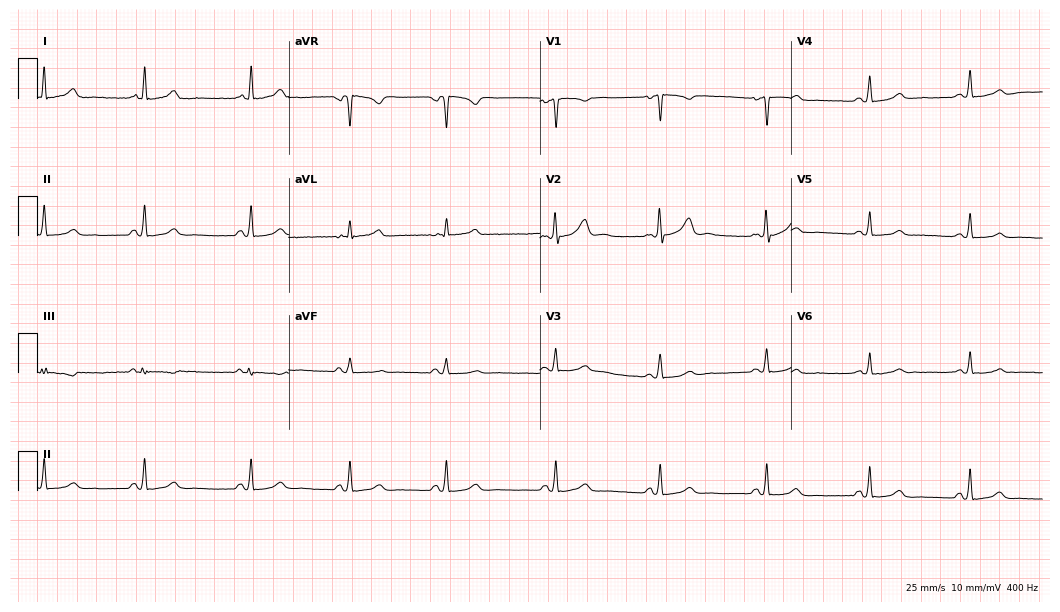
ECG — an 18-year-old female. Labelled as a normal ECG.